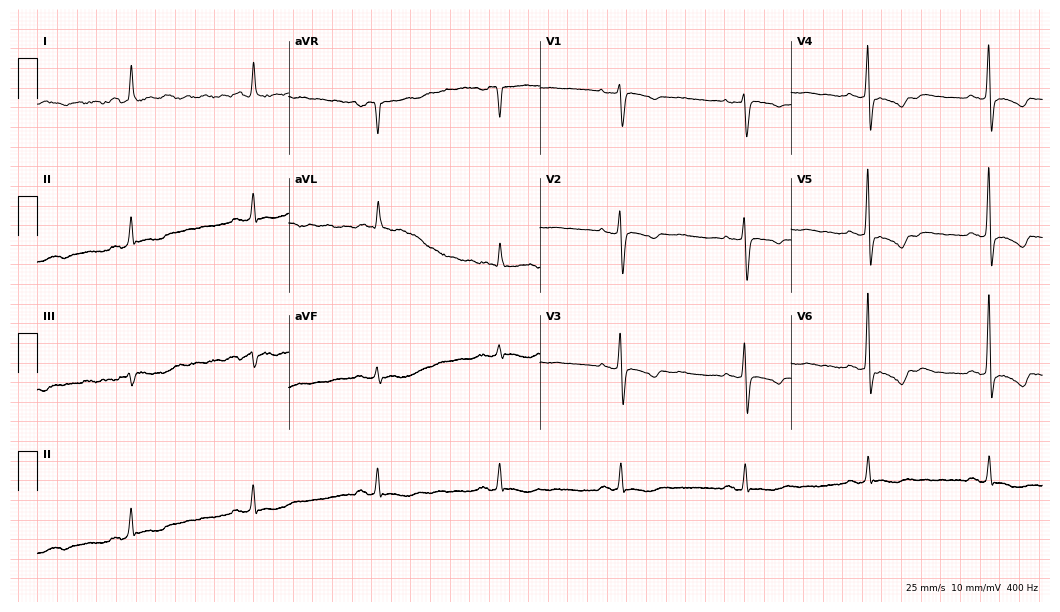
Electrocardiogram, a 67-year-old woman. Interpretation includes sinus bradycardia (a sinus rate of 50 beats per minute or less).